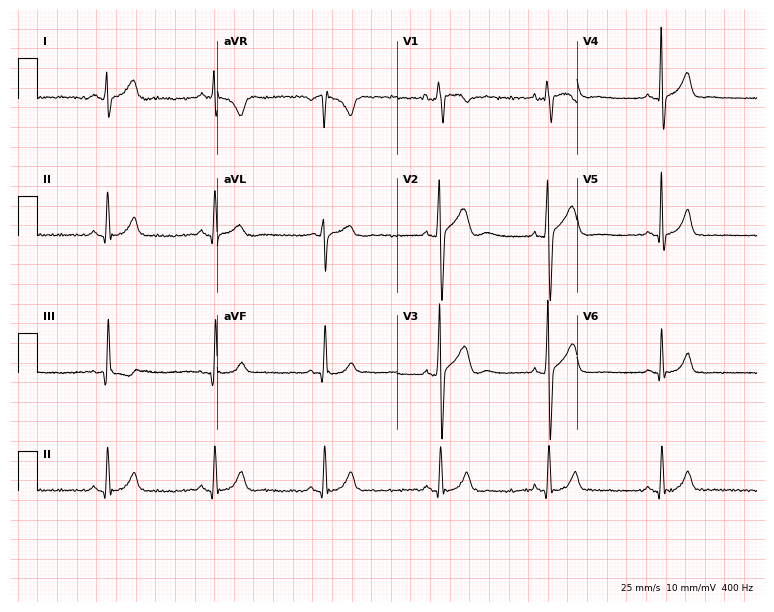
Resting 12-lead electrocardiogram. Patient: a male, 27 years old. None of these six findings is recorded: first-degree AV block, right bundle branch block, left bundle branch block, sinus bradycardia, atrial fibrillation, sinus tachycardia. Findings outside these six are not listed.